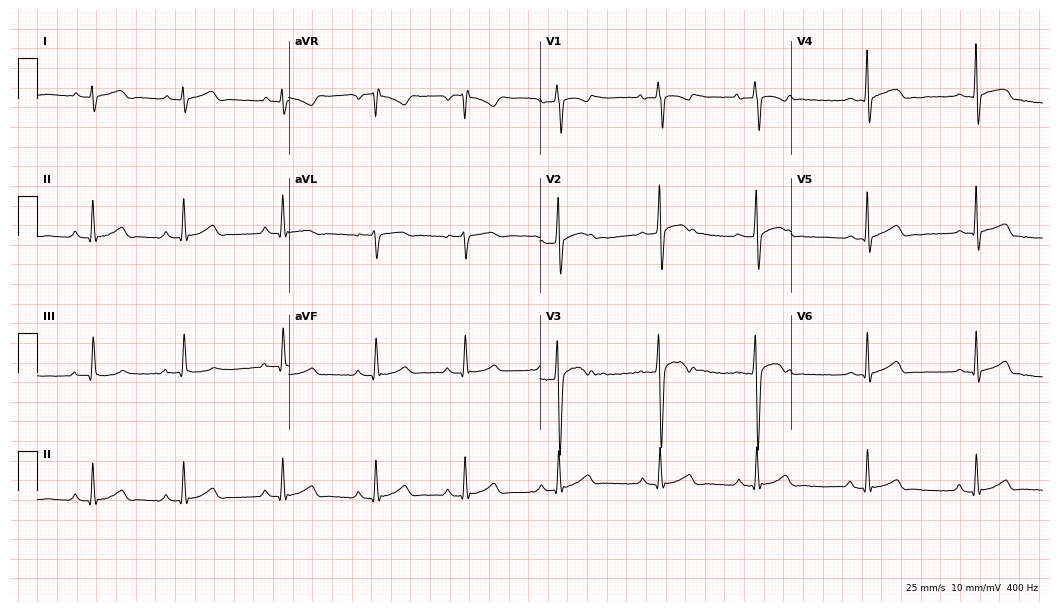
12-lead ECG from a male, 17 years old (10.2-second recording at 400 Hz). Recorded interpretation: within normal limits.